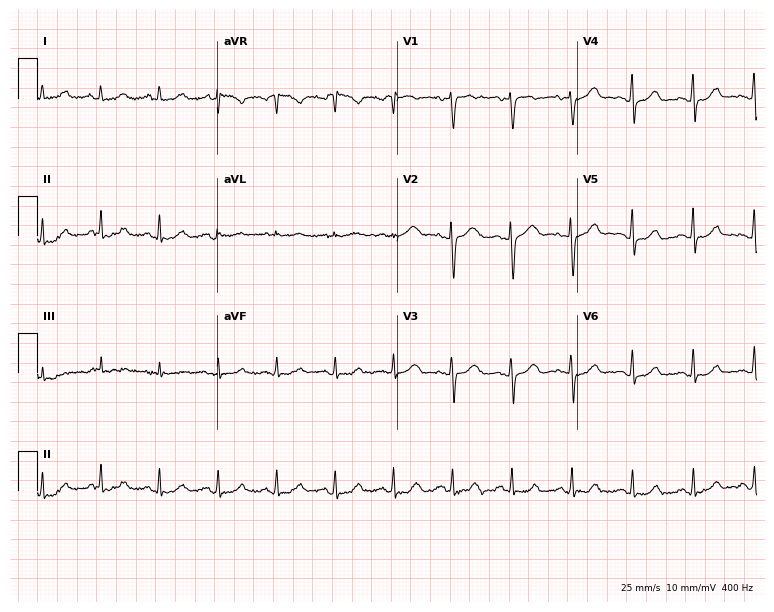
Electrocardiogram, a 54-year-old female patient. Overall reading on record: normal ECG.